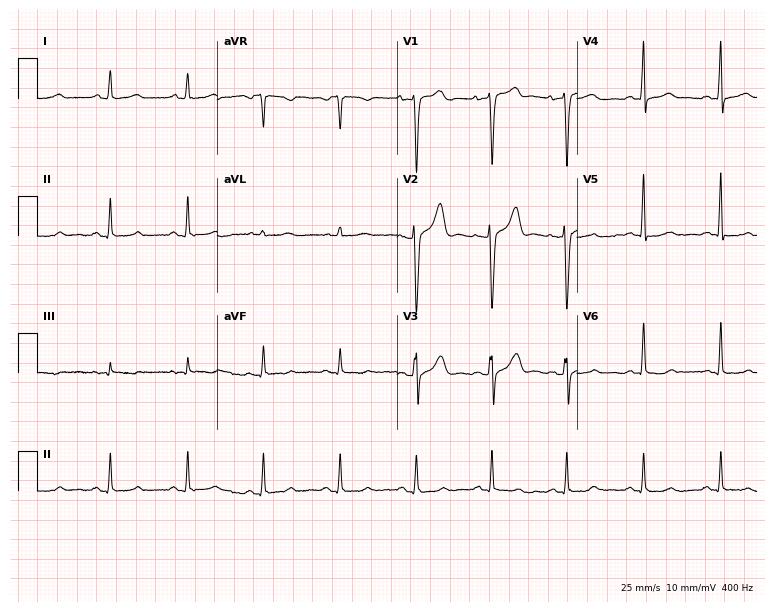
ECG (7.3-second recording at 400 Hz) — a 44-year-old female patient. Labelled as a normal ECG.